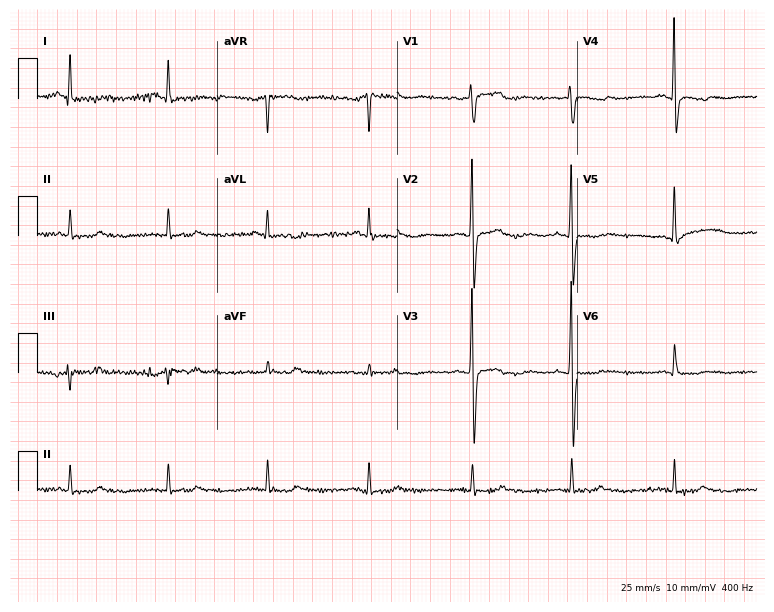
Electrocardiogram, a 70-year-old female patient. Of the six screened findings (first-degree AV block, right bundle branch block, left bundle branch block, sinus bradycardia, atrial fibrillation, sinus tachycardia), none is recorded. Other findings, if any, are not listed.